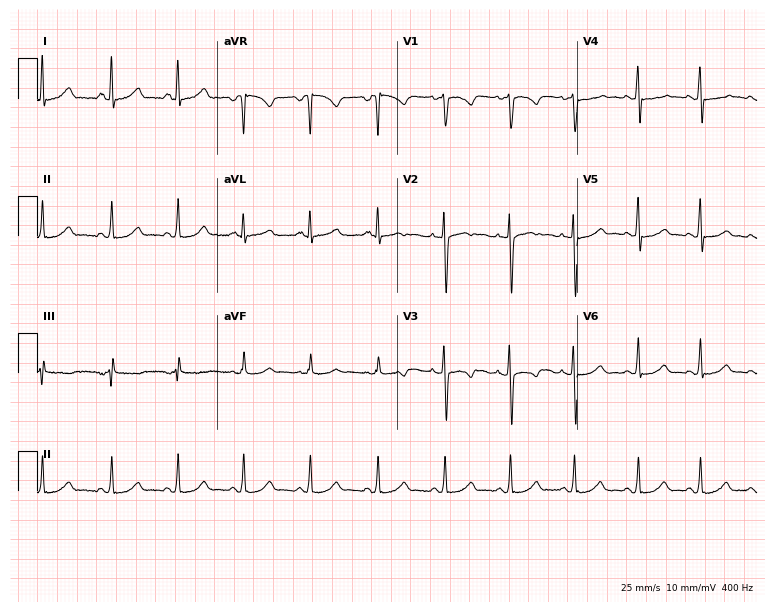
12-lead ECG from a woman, 30 years old. Labelled as a normal ECG.